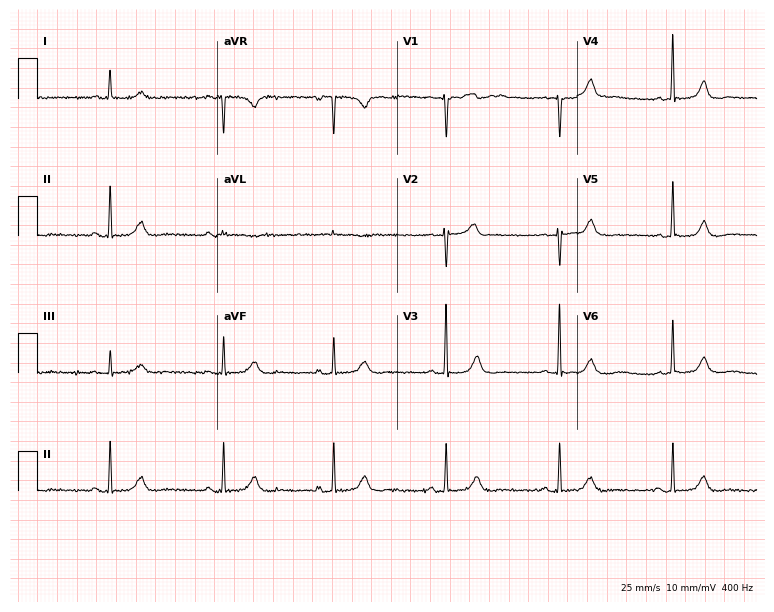
Electrocardiogram, a woman, 79 years old. Overall reading on record: normal ECG.